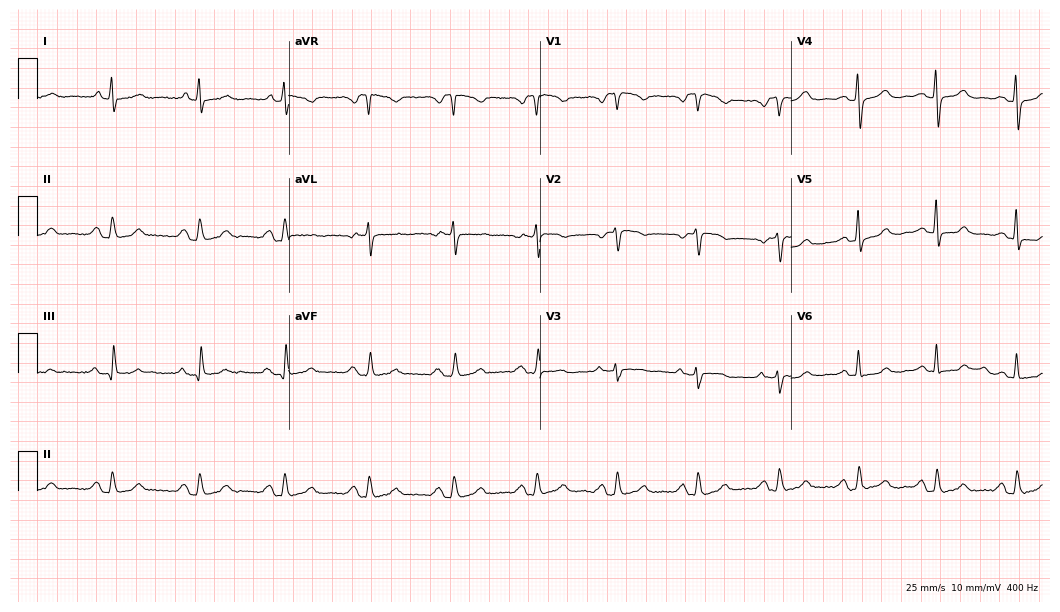
ECG (10.2-second recording at 400 Hz) — a female, 51 years old. Screened for six findings — first-degree AV block, right bundle branch block (RBBB), left bundle branch block (LBBB), sinus bradycardia, atrial fibrillation (AF), sinus tachycardia — none is recorded. Other findings, if any, are not listed.